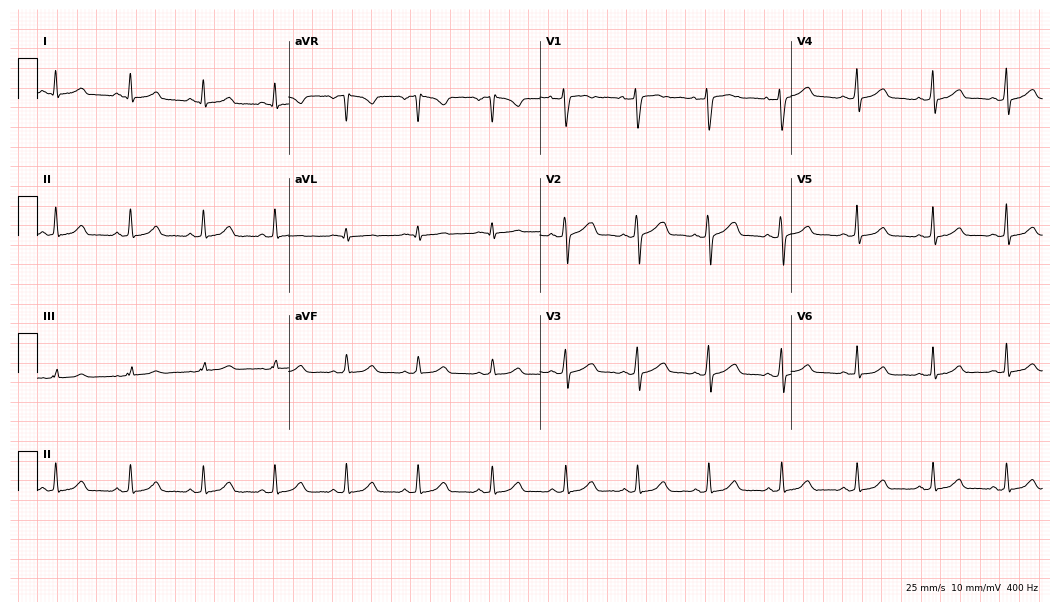
12-lead ECG from a woman, 33 years old. Recorded interpretation: within normal limits.